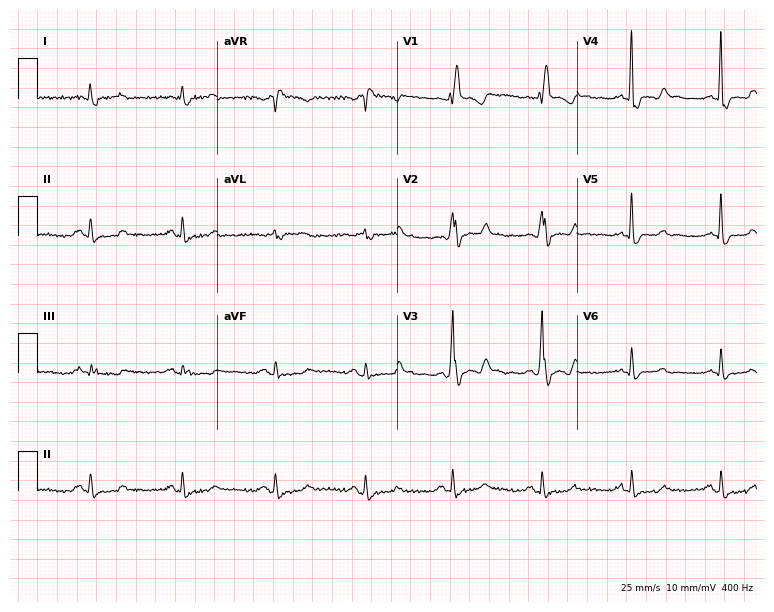
Electrocardiogram (7.3-second recording at 400 Hz), a man, 68 years old. Of the six screened findings (first-degree AV block, right bundle branch block, left bundle branch block, sinus bradycardia, atrial fibrillation, sinus tachycardia), none is recorded. Findings outside these six are not listed.